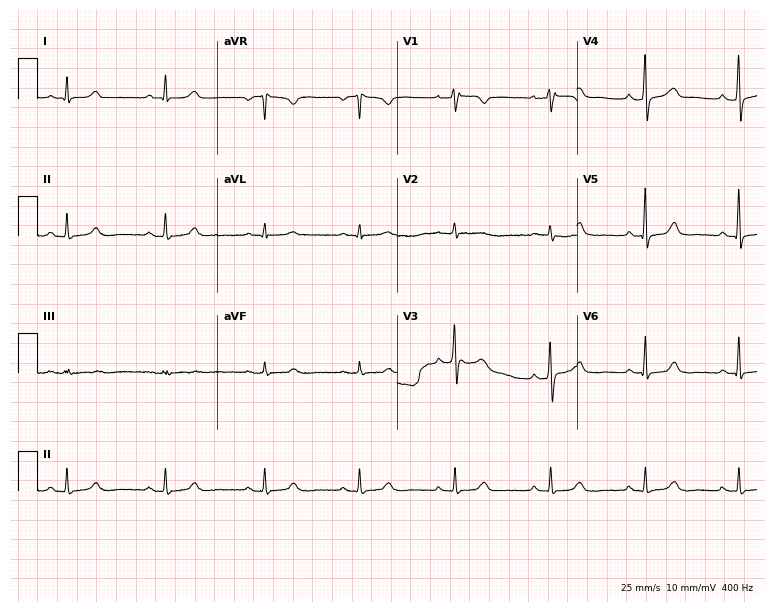
Resting 12-lead electrocardiogram (7.3-second recording at 400 Hz). Patient: a female, 45 years old. Read as a normal ECG.